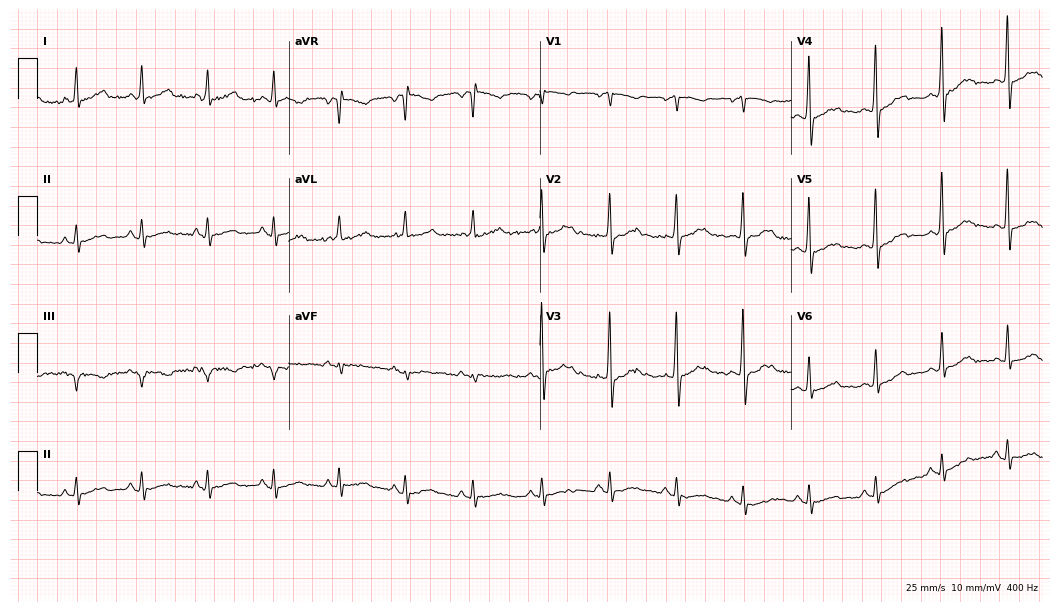
Resting 12-lead electrocardiogram. Patient: a male, 44 years old. Read as a normal ECG.